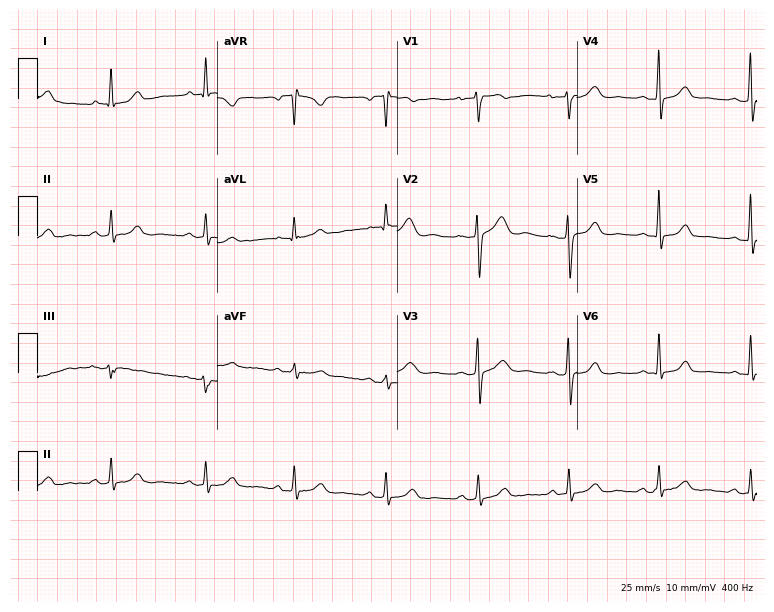
12-lead ECG (7.3-second recording at 400 Hz) from a female, 28 years old. Screened for six findings — first-degree AV block, right bundle branch block, left bundle branch block, sinus bradycardia, atrial fibrillation, sinus tachycardia — none is recorded.